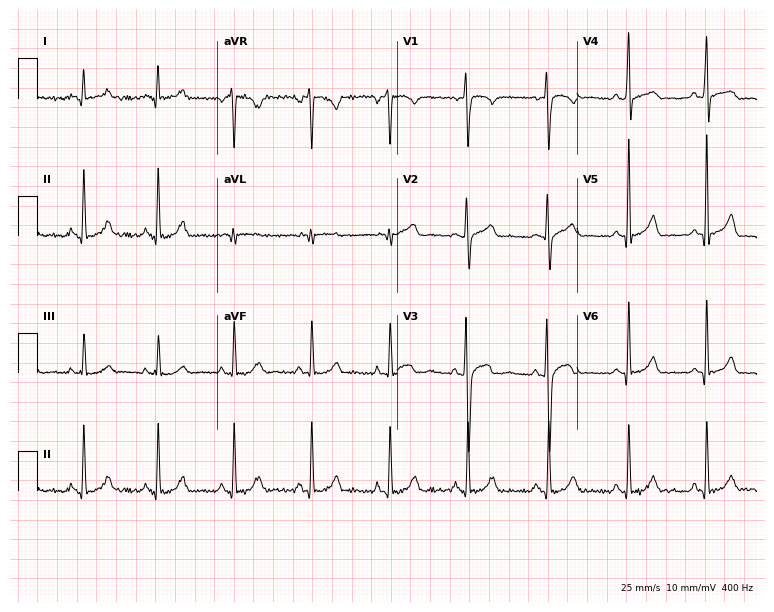
Resting 12-lead electrocardiogram (7.3-second recording at 400 Hz). Patient: a male, 29 years old. Read as a normal ECG.